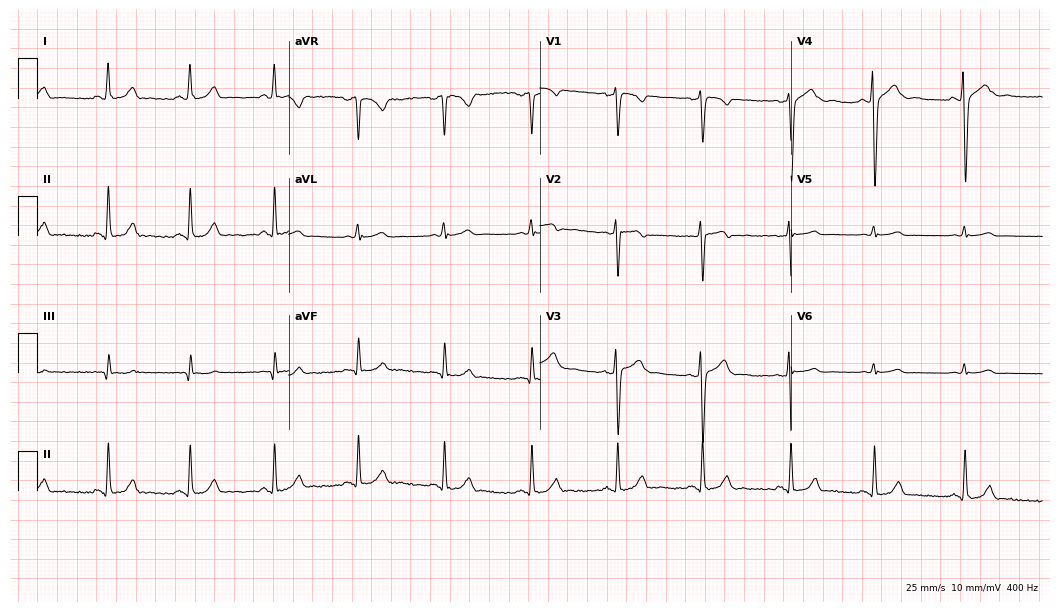
12-lead ECG (10.2-second recording at 400 Hz) from a 27-year-old male. Labelled as a normal ECG.